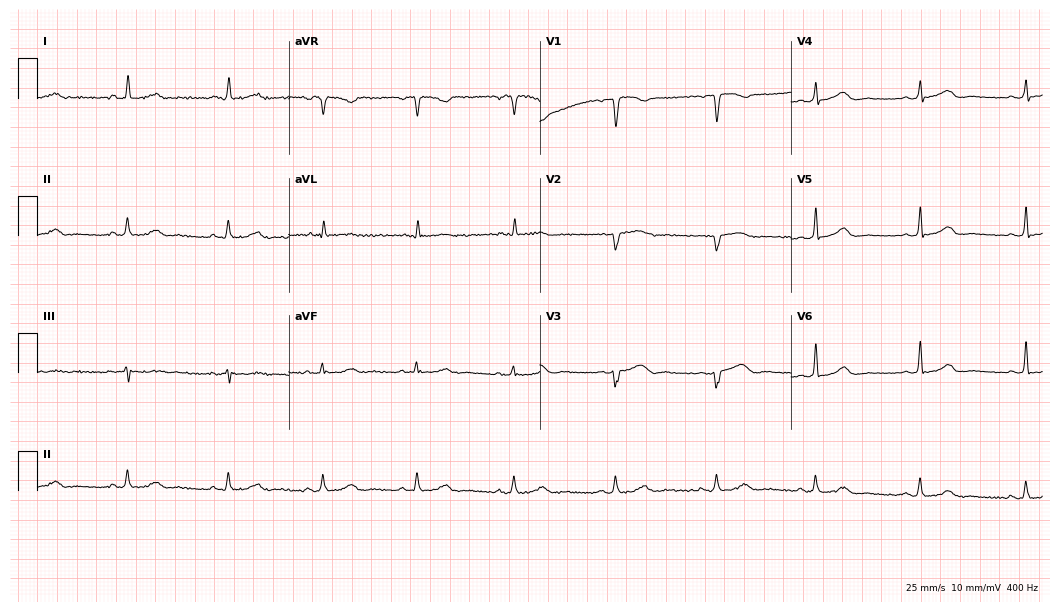
Electrocardiogram (10.2-second recording at 400 Hz), a 46-year-old female patient. Overall reading on record: normal ECG.